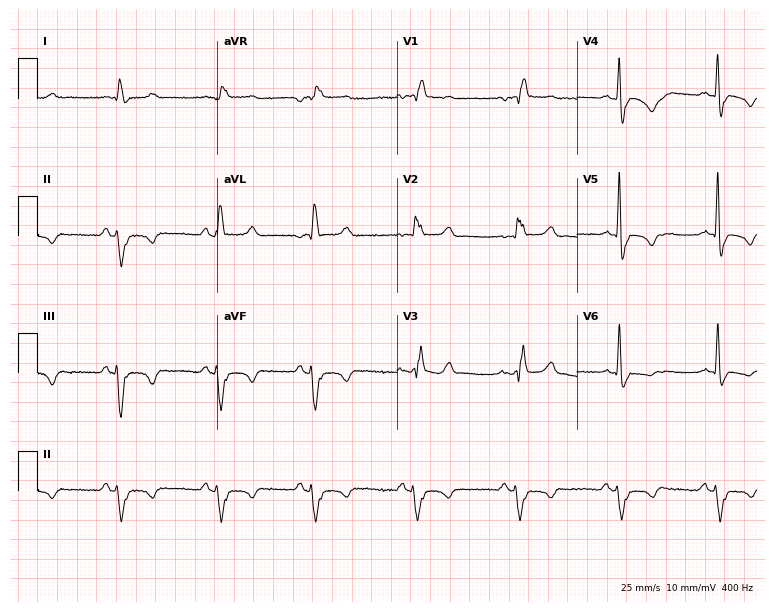
12-lead ECG from an 81-year-old female patient (7.3-second recording at 400 Hz). No first-degree AV block, right bundle branch block, left bundle branch block, sinus bradycardia, atrial fibrillation or sinus tachycardia recorded for this tracing.